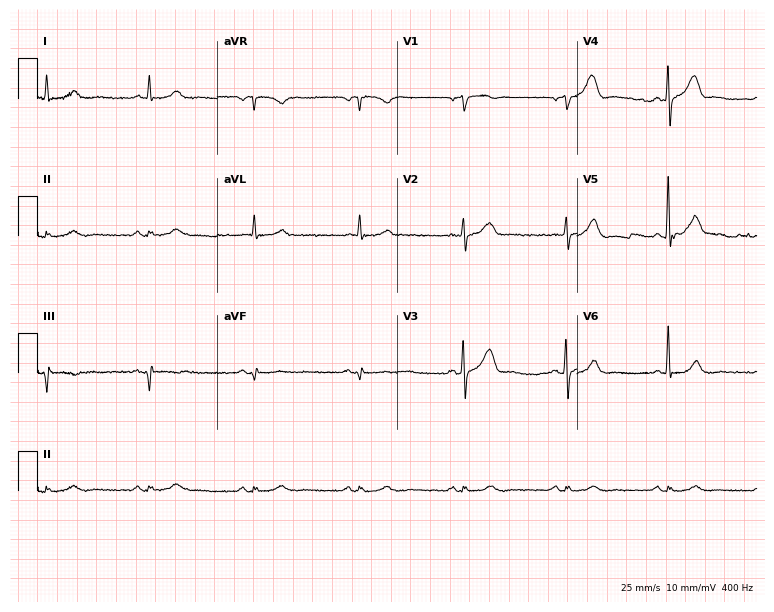
Resting 12-lead electrocardiogram. Patient: a 75-year-old male. None of these six findings is recorded: first-degree AV block, right bundle branch block (RBBB), left bundle branch block (LBBB), sinus bradycardia, atrial fibrillation (AF), sinus tachycardia. Other findings, if any, are not listed.